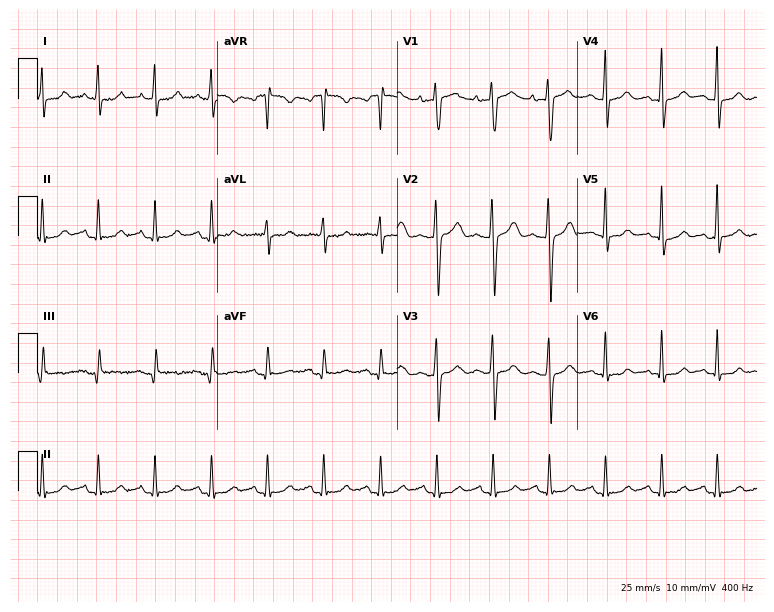
12-lead ECG (7.3-second recording at 400 Hz) from a female patient, 27 years old. Findings include sinus tachycardia (a sinus rate of 100 beats per minute or more).